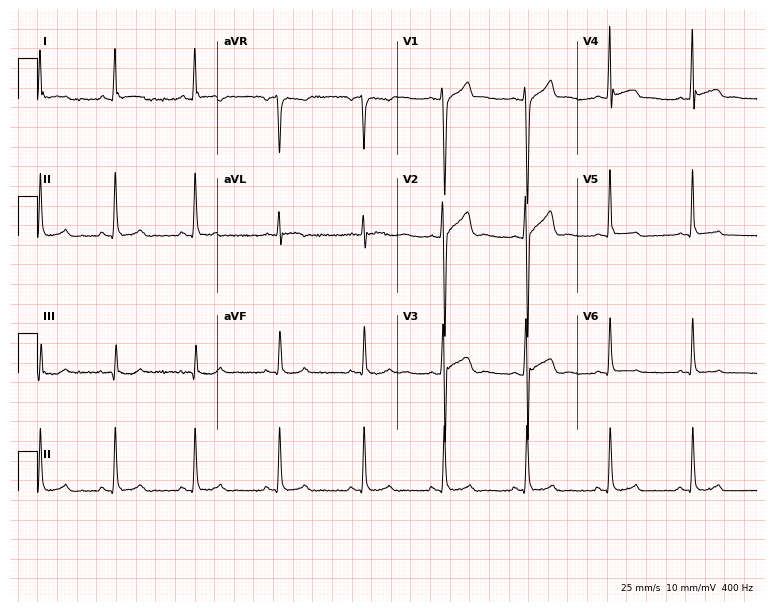
Resting 12-lead electrocardiogram. Patient: a man, 36 years old. Read as a normal ECG.